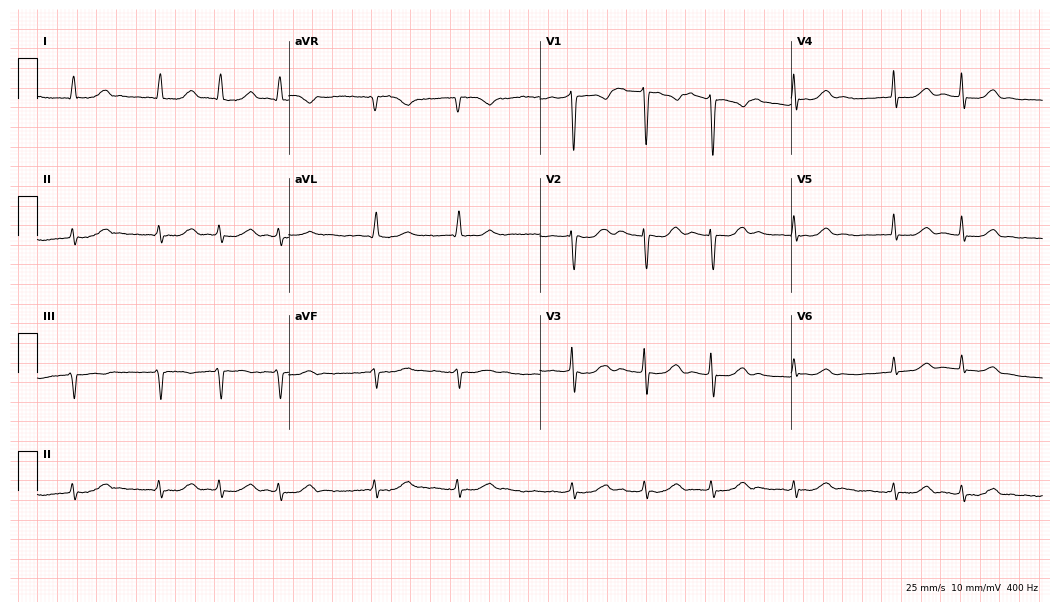
Standard 12-lead ECG recorded from a 72-year-old female patient. The tracing shows atrial fibrillation.